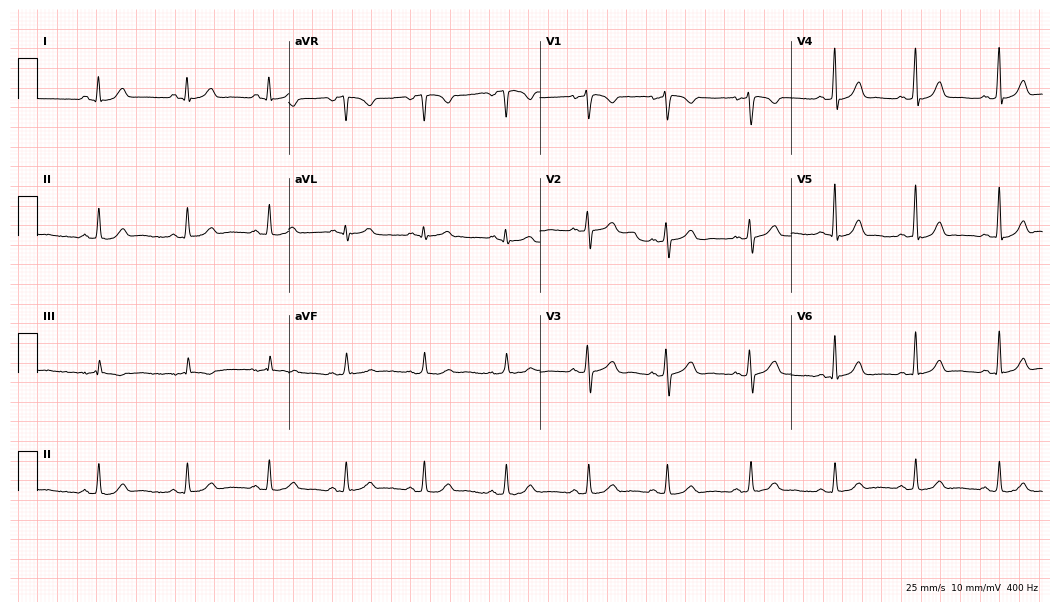
ECG (10.2-second recording at 400 Hz) — a female patient, 37 years old. Labelled as a normal ECG.